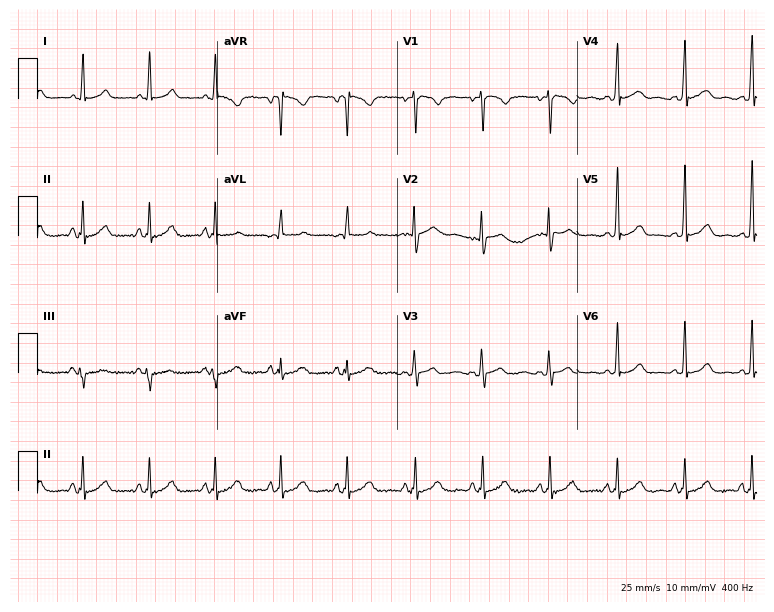
ECG — a female patient, 40 years old. Screened for six findings — first-degree AV block, right bundle branch block, left bundle branch block, sinus bradycardia, atrial fibrillation, sinus tachycardia — none is recorded.